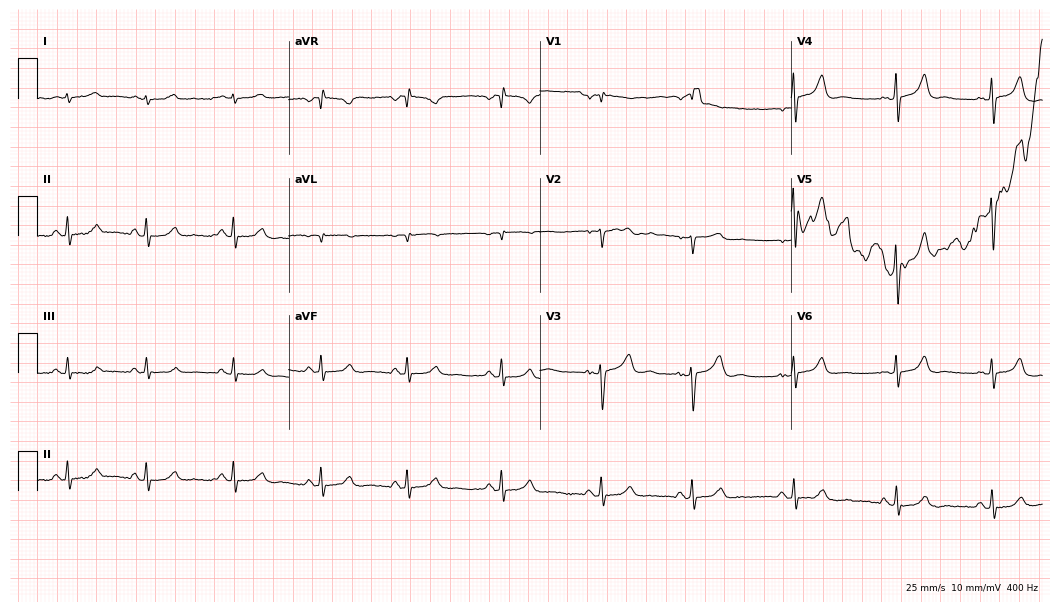
12-lead ECG (10.2-second recording at 400 Hz) from a 55-year-old male. Labelled as a normal ECG.